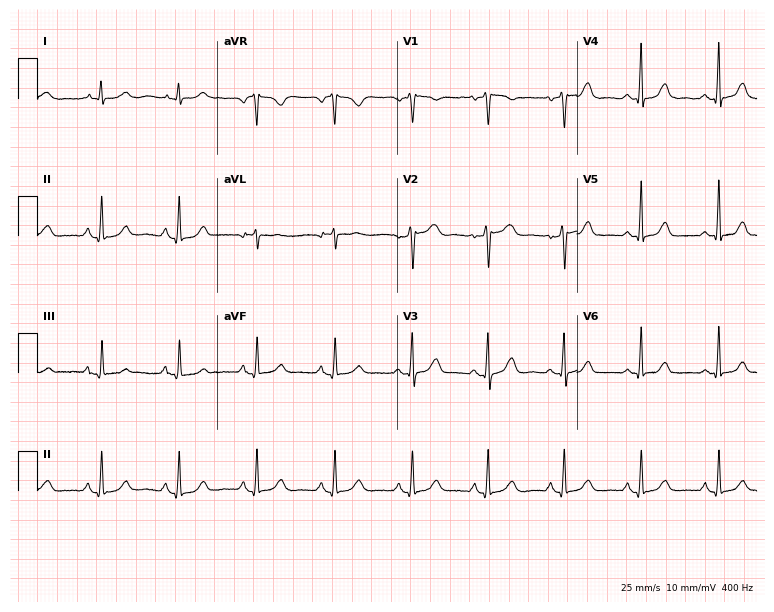
Standard 12-lead ECG recorded from a 56-year-old female patient. Read as a normal ECG.